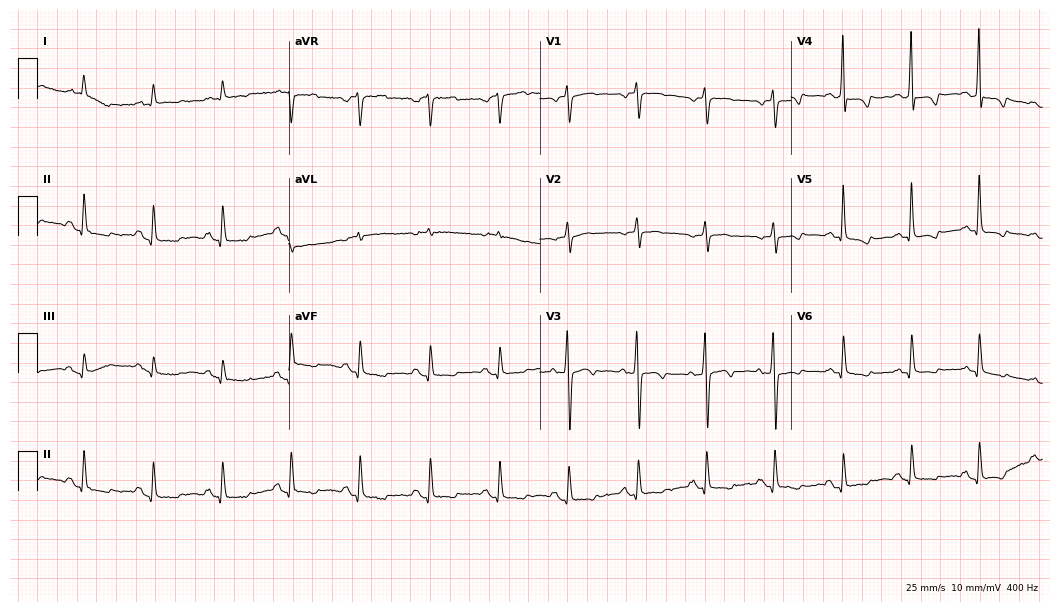
Resting 12-lead electrocardiogram (10.2-second recording at 400 Hz). Patient: a 76-year-old female. None of these six findings is recorded: first-degree AV block, right bundle branch block, left bundle branch block, sinus bradycardia, atrial fibrillation, sinus tachycardia.